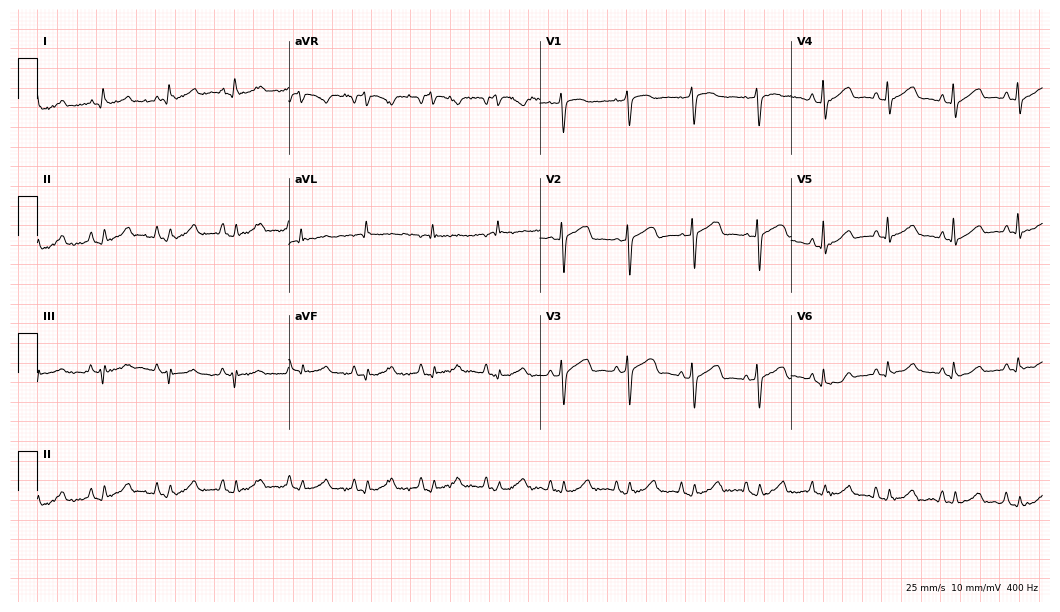
Resting 12-lead electrocardiogram (10.2-second recording at 400 Hz). Patient: a 79-year-old female. None of these six findings is recorded: first-degree AV block, right bundle branch block (RBBB), left bundle branch block (LBBB), sinus bradycardia, atrial fibrillation (AF), sinus tachycardia. Only these six findings were labelled.